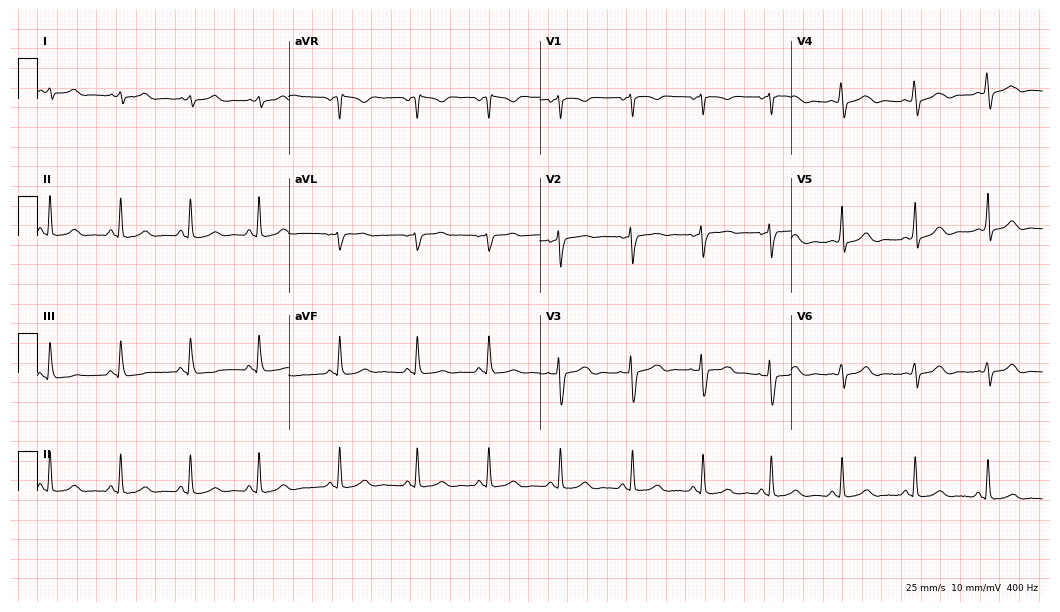
Electrocardiogram, a 26-year-old female patient. Of the six screened findings (first-degree AV block, right bundle branch block (RBBB), left bundle branch block (LBBB), sinus bradycardia, atrial fibrillation (AF), sinus tachycardia), none is recorded.